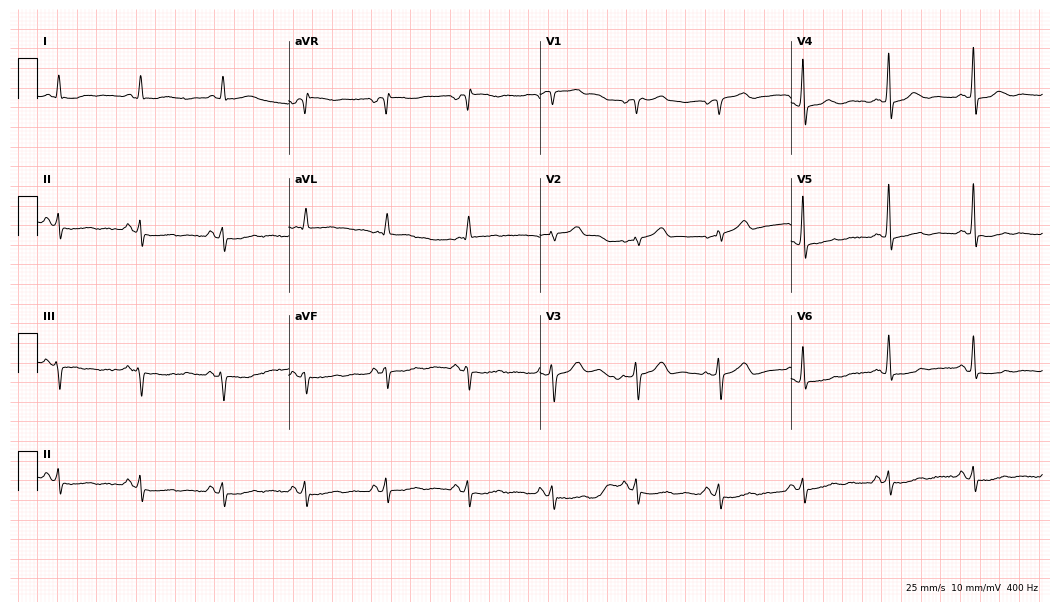
Standard 12-lead ECG recorded from a male, 81 years old. None of these six findings is recorded: first-degree AV block, right bundle branch block, left bundle branch block, sinus bradycardia, atrial fibrillation, sinus tachycardia.